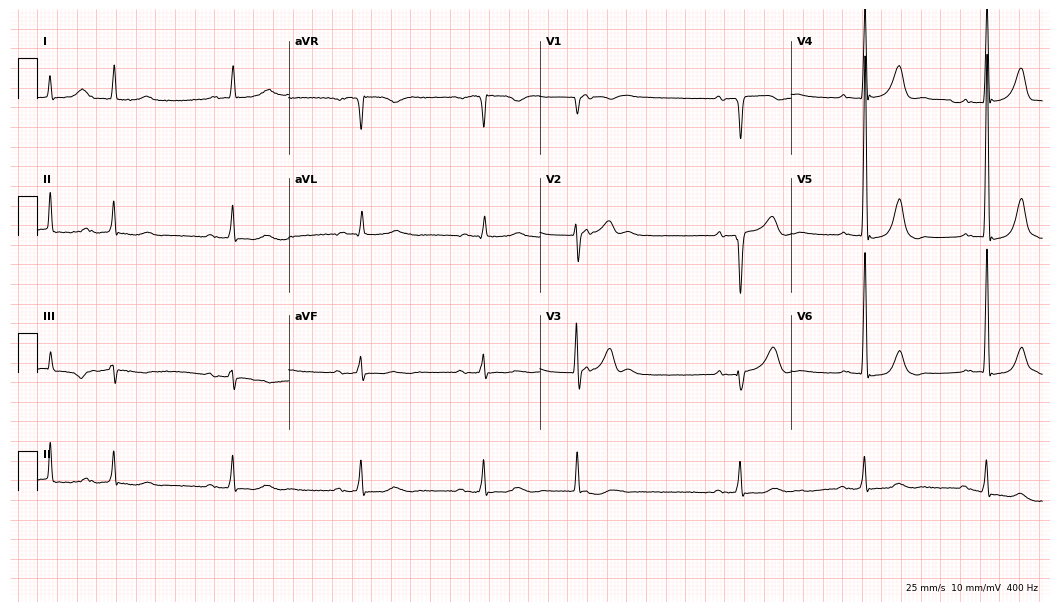
12-lead ECG (10.2-second recording at 400 Hz) from a male patient, 69 years old. Findings include sinus bradycardia (a sinus rate of 50 beats per minute or less).